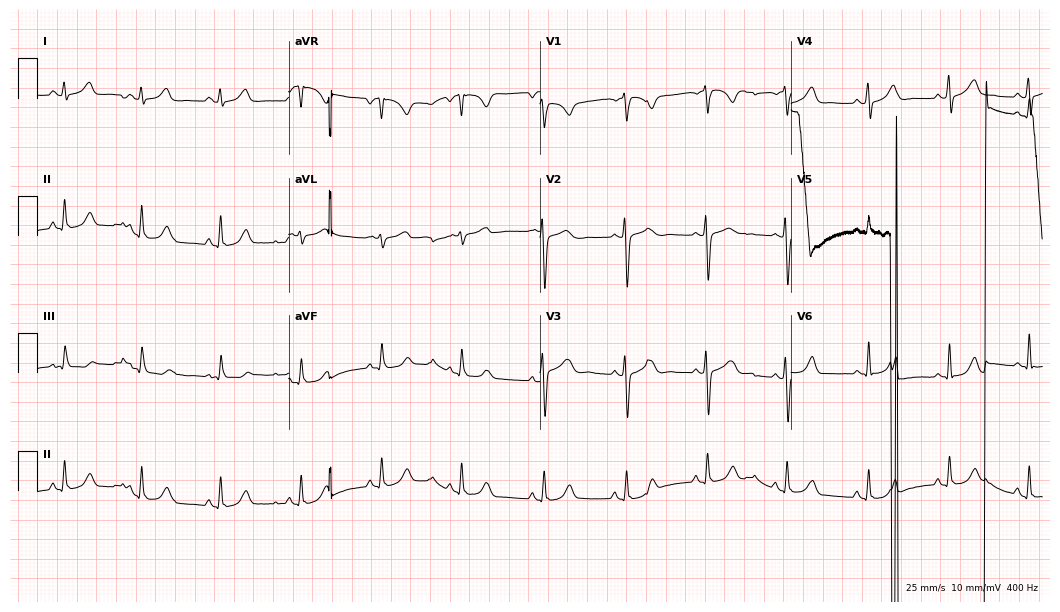
12-lead ECG from a female patient, 25 years old (10.2-second recording at 400 Hz). No first-degree AV block, right bundle branch block, left bundle branch block, sinus bradycardia, atrial fibrillation or sinus tachycardia recorded for this tracing. Findings outside these six are not listed.